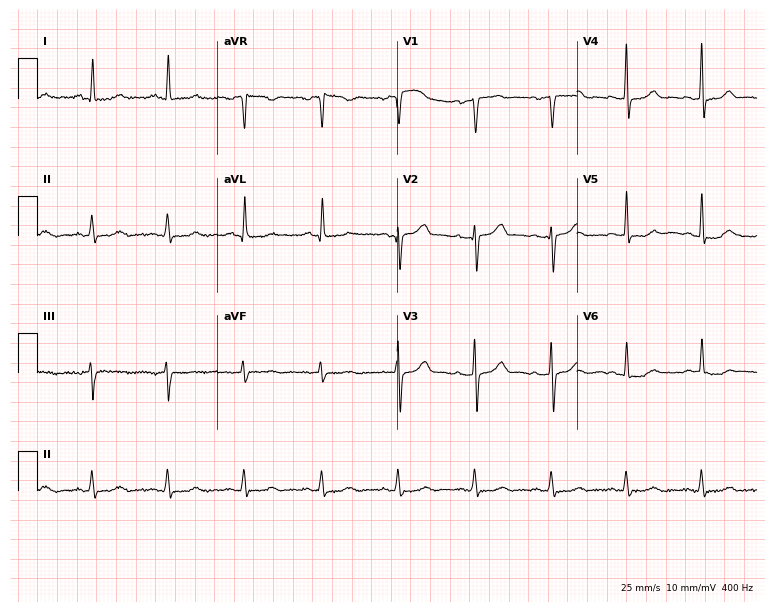
12-lead ECG (7.3-second recording at 400 Hz) from a female, 51 years old. Screened for six findings — first-degree AV block, right bundle branch block, left bundle branch block, sinus bradycardia, atrial fibrillation, sinus tachycardia — none is recorded.